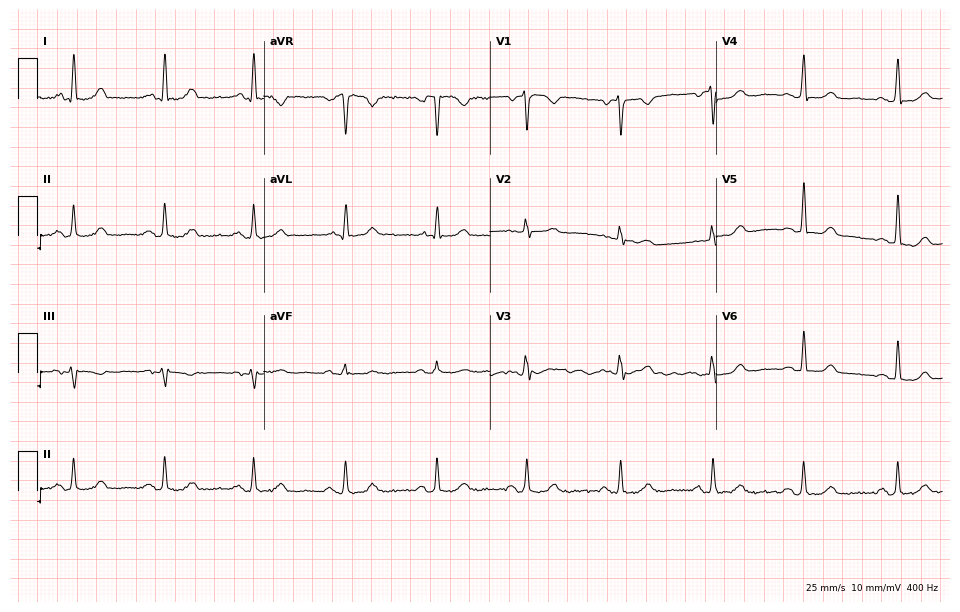
ECG — a 57-year-old female. Screened for six findings — first-degree AV block, right bundle branch block (RBBB), left bundle branch block (LBBB), sinus bradycardia, atrial fibrillation (AF), sinus tachycardia — none is recorded. Findings outside these six are not listed.